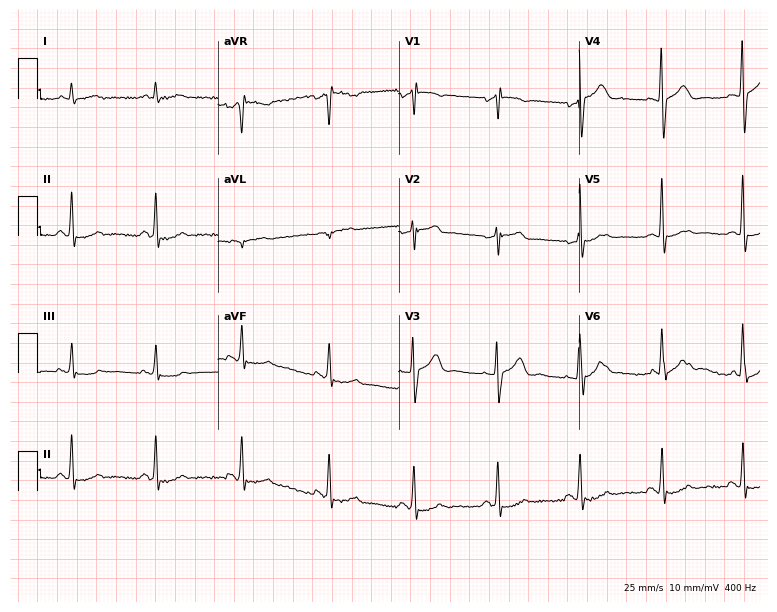
12-lead ECG from a 53-year-old male. Labelled as a normal ECG.